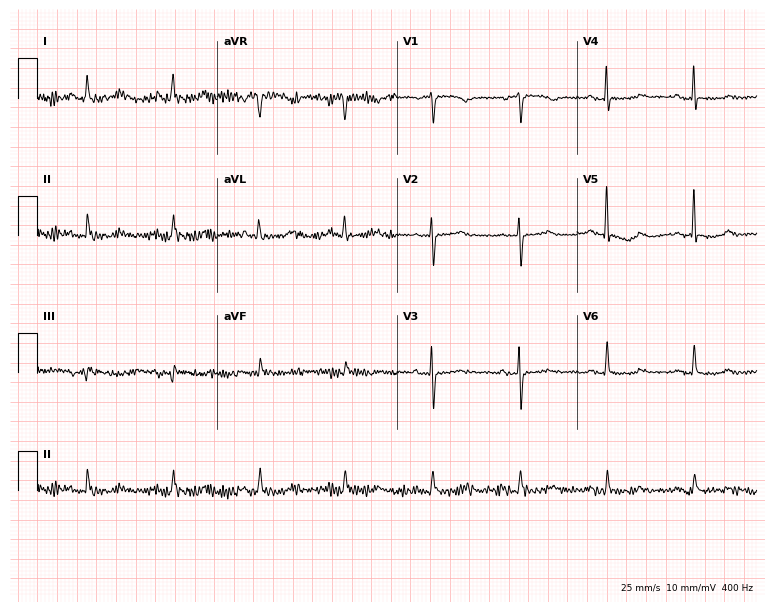
12-lead ECG from a female, 79 years old (7.3-second recording at 400 Hz). No first-degree AV block, right bundle branch block, left bundle branch block, sinus bradycardia, atrial fibrillation or sinus tachycardia recorded for this tracing.